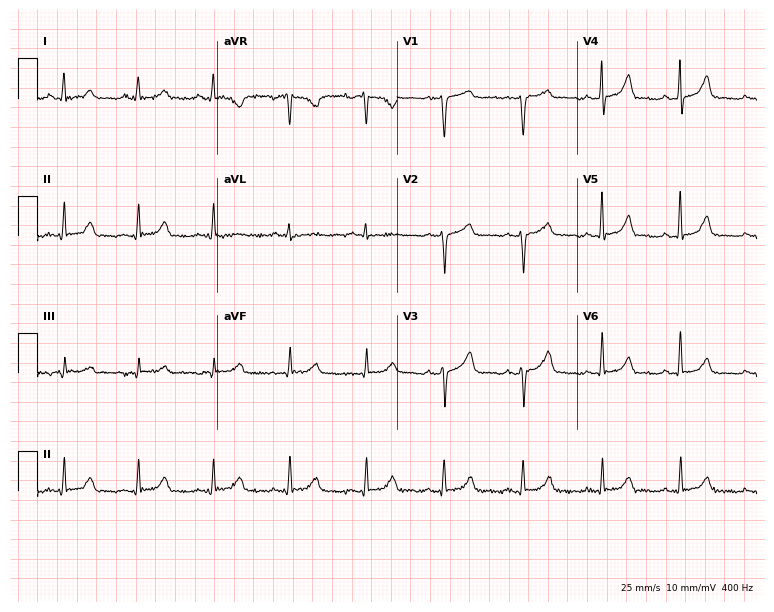
12-lead ECG from a male, 65 years old. Labelled as a normal ECG.